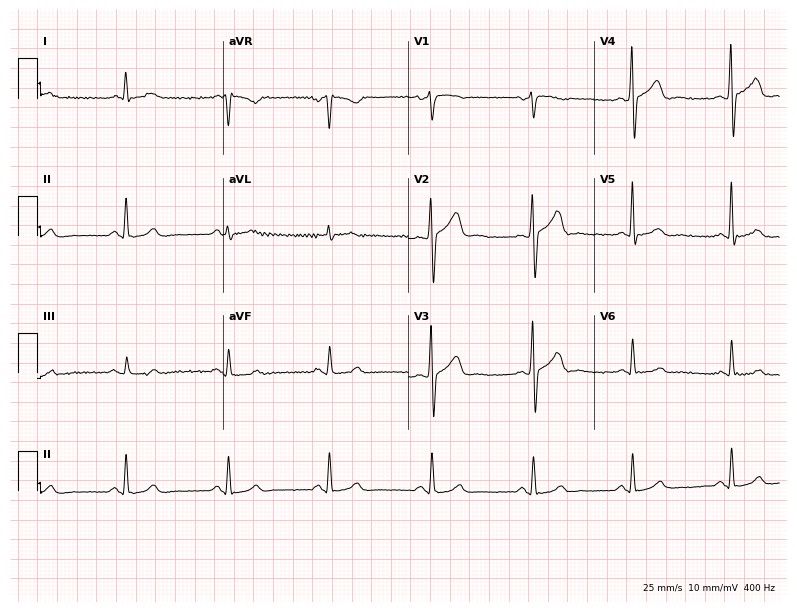
Electrocardiogram, a 61-year-old male. Overall reading on record: normal ECG.